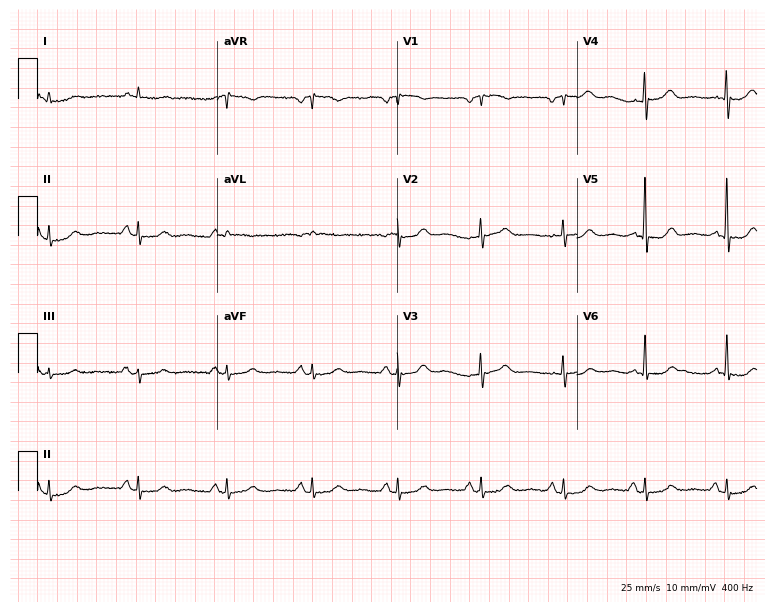
12-lead ECG (7.3-second recording at 400 Hz) from a male, 75 years old. Screened for six findings — first-degree AV block, right bundle branch block, left bundle branch block, sinus bradycardia, atrial fibrillation, sinus tachycardia — none is recorded.